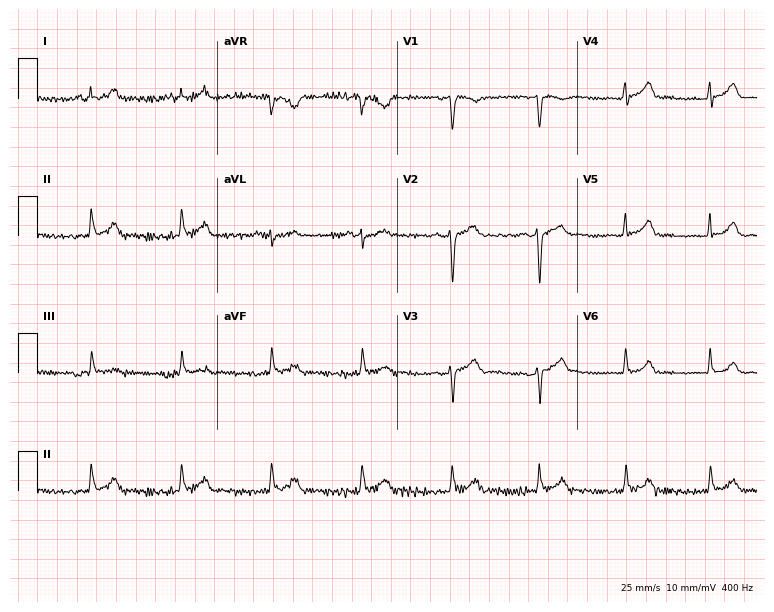
ECG — a 41-year-old female patient. Screened for six findings — first-degree AV block, right bundle branch block, left bundle branch block, sinus bradycardia, atrial fibrillation, sinus tachycardia — none is recorded. Only these six findings were labelled.